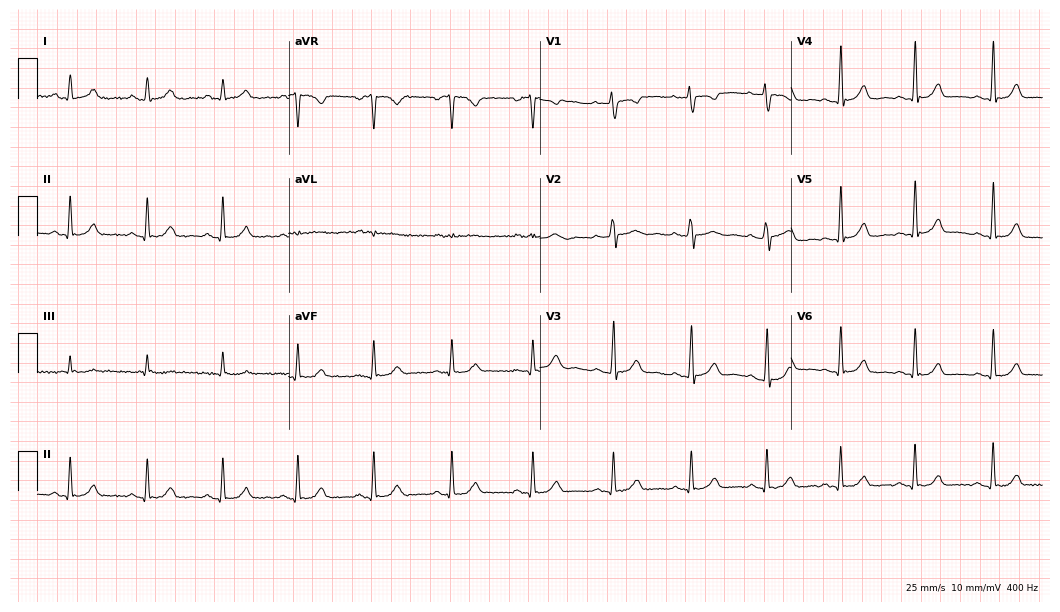
ECG — a female patient, 21 years old. Labelled as a normal ECG.